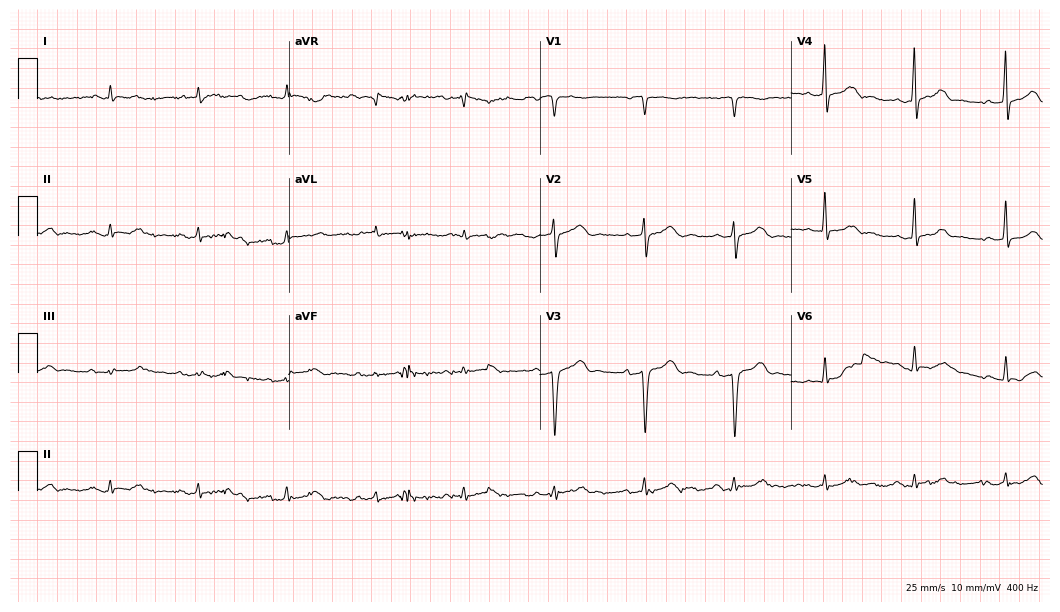
Standard 12-lead ECG recorded from a 76-year-old female patient. None of these six findings is recorded: first-degree AV block, right bundle branch block, left bundle branch block, sinus bradycardia, atrial fibrillation, sinus tachycardia.